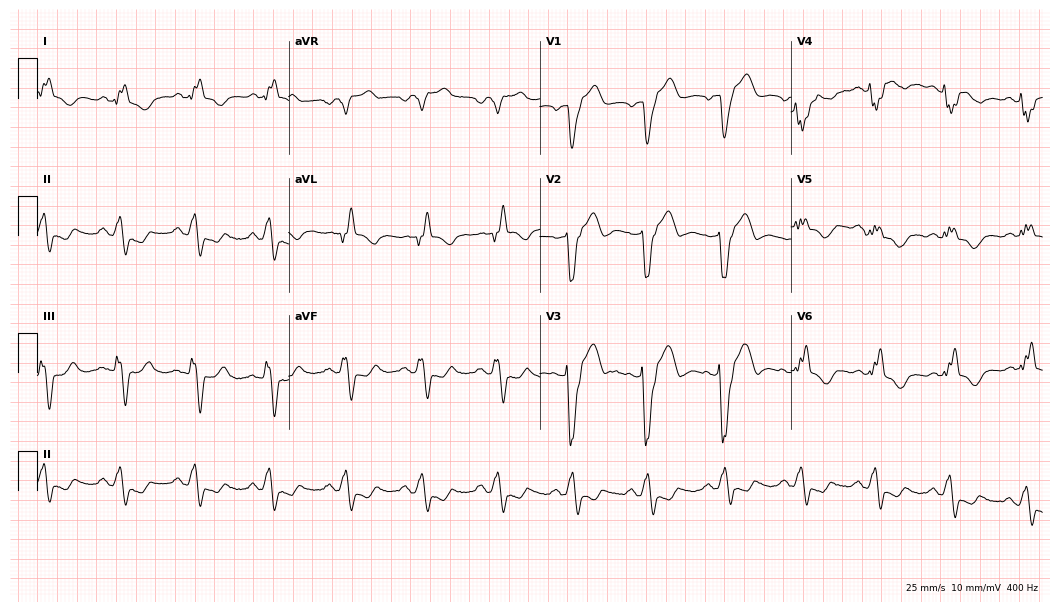
Electrocardiogram, a 69-year-old male patient. Interpretation includes left bundle branch block (LBBB).